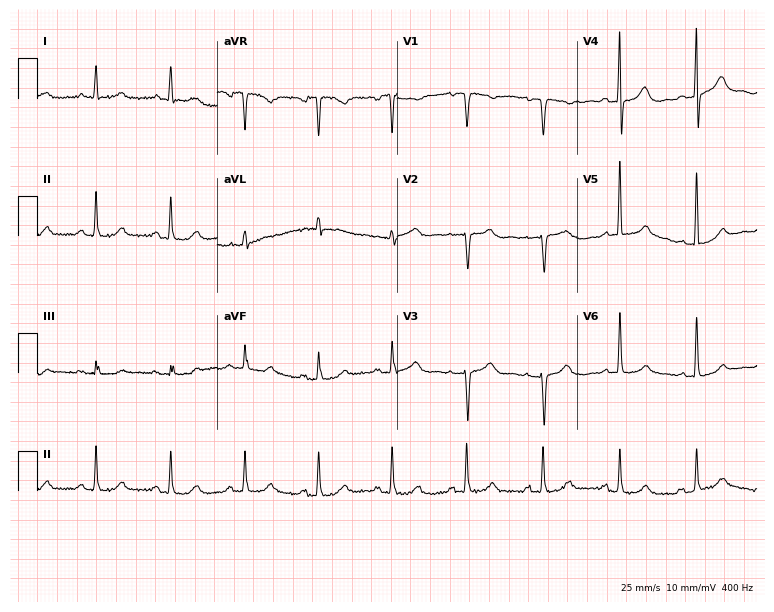
Electrocardiogram, a woman, 63 years old. Of the six screened findings (first-degree AV block, right bundle branch block (RBBB), left bundle branch block (LBBB), sinus bradycardia, atrial fibrillation (AF), sinus tachycardia), none is recorded. Findings outside these six are not listed.